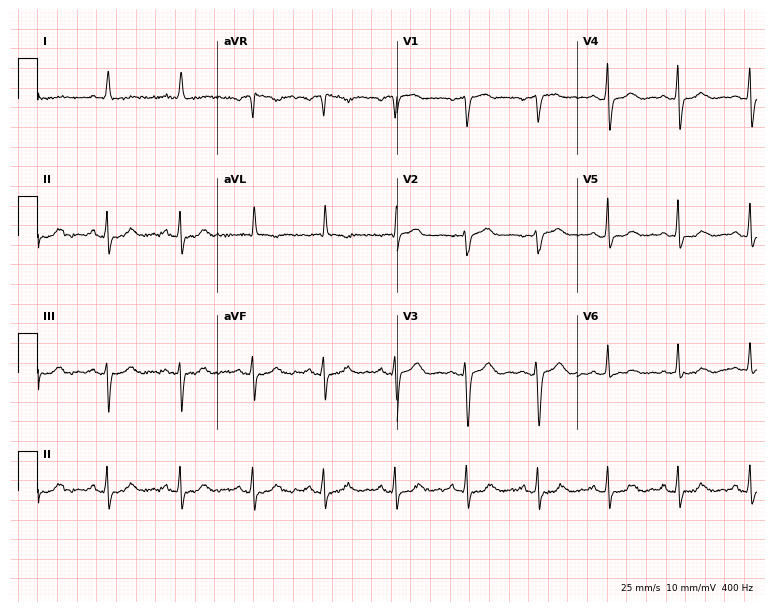
Standard 12-lead ECG recorded from a woman, 76 years old (7.3-second recording at 400 Hz). None of these six findings is recorded: first-degree AV block, right bundle branch block (RBBB), left bundle branch block (LBBB), sinus bradycardia, atrial fibrillation (AF), sinus tachycardia.